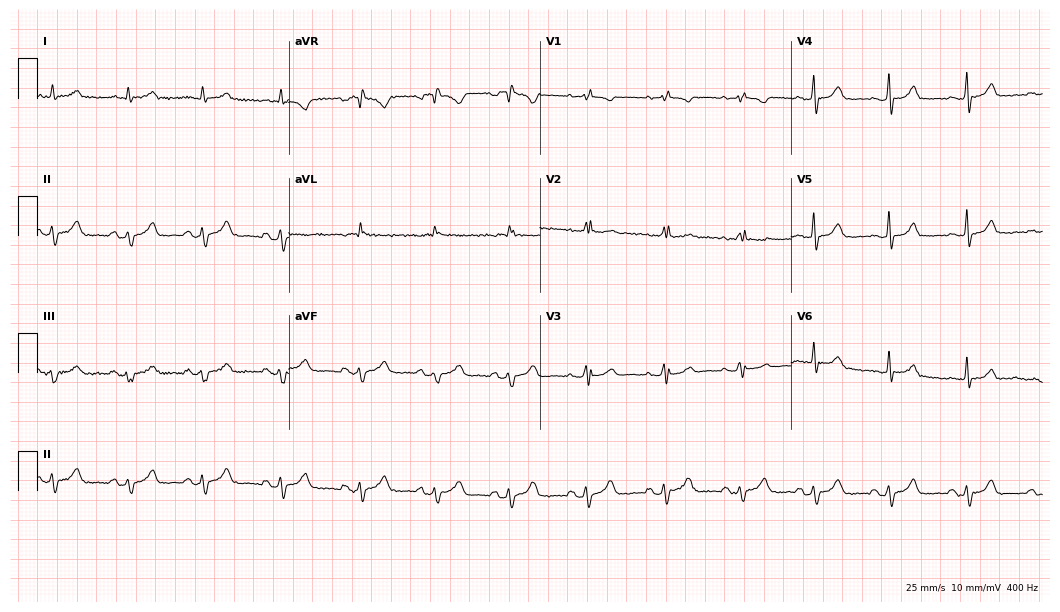
12-lead ECG from an 83-year-old female. No first-degree AV block, right bundle branch block, left bundle branch block, sinus bradycardia, atrial fibrillation or sinus tachycardia recorded for this tracing. Other findings, if any, are not listed.